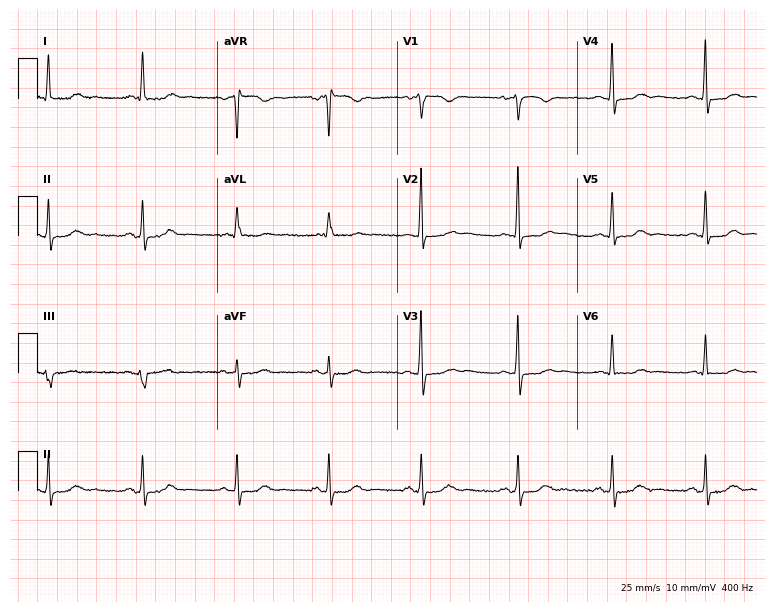
Standard 12-lead ECG recorded from a female, 57 years old (7.3-second recording at 400 Hz). None of these six findings is recorded: first-degree AV block, right bundle branch block (RBBB), left bundle branch block (LBBB), sinus bradycardia, atrial fibrillation (AF), sinus tachycardia. Only these six findings were labelled.